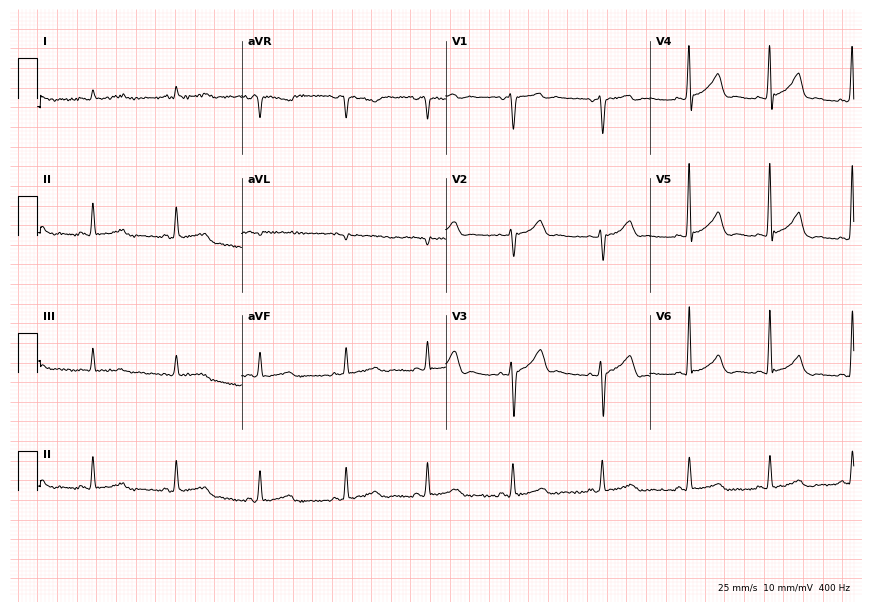
Electrocardiogram, a woman, 41 years old. Overall reading on record: normal ECG.